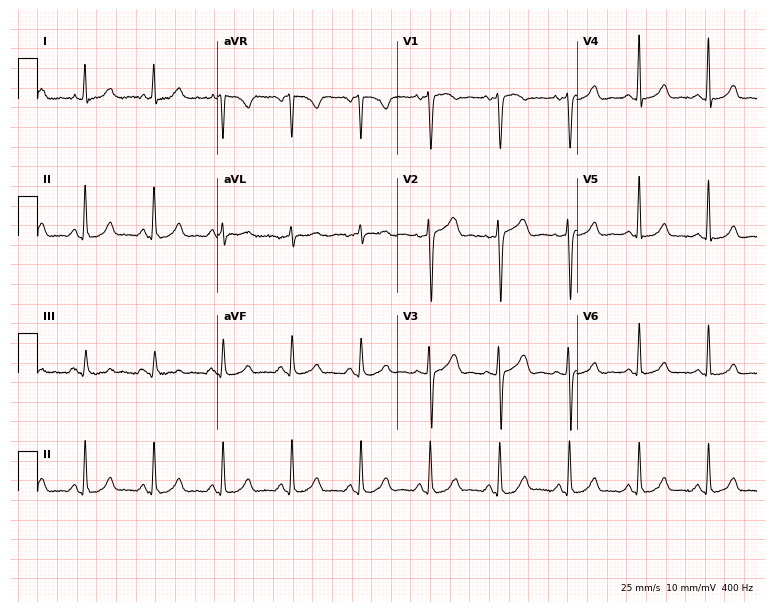
ECG (7.3-second recording at 400 Hz) — a woman, 58 years old. Labelled as a normal ECG.